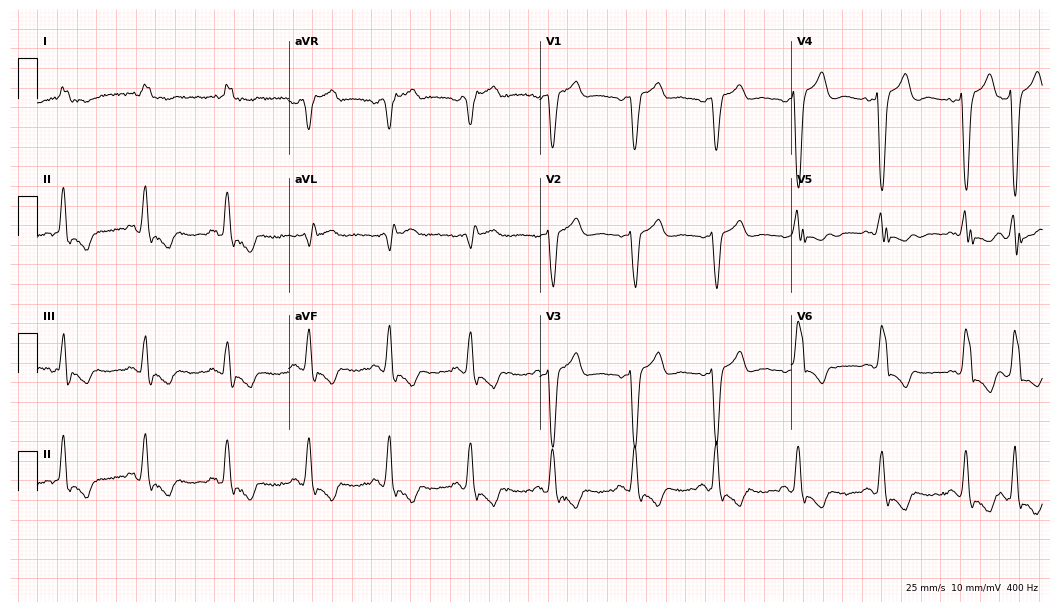
Resting 12-lead electrocardiogram (10.2-second recording at 400 Hz). Patient: a woman, 78 years old. The tracing shows left bundle branch block.